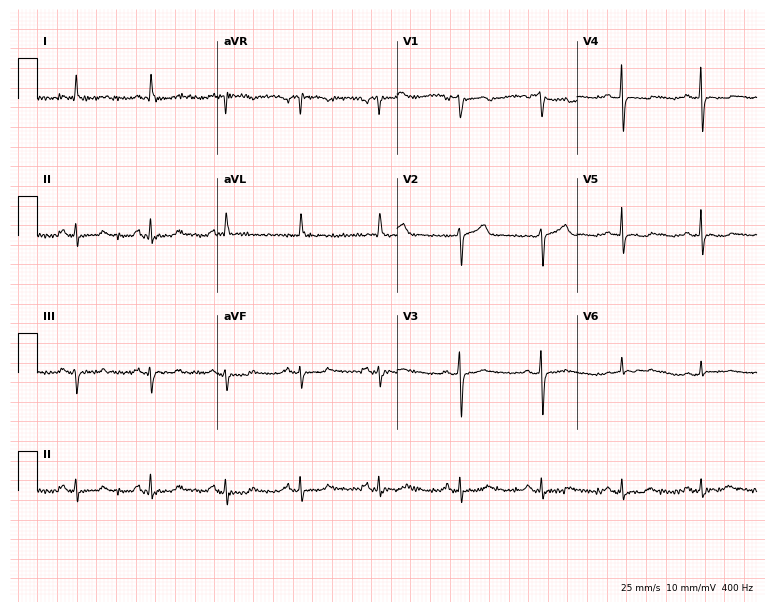
12-lead ECG (7.3-second recording at 400 Hz) from a 70-year-old woman. Screened for six findings — first-degree AV block, right bundle branch block (RBBB), left bundle branch block (LBBB), sinus bradycardia, atrial fibrillation (AF), sinus tachycardia — none is recorded. Findings outside these six are not listed.